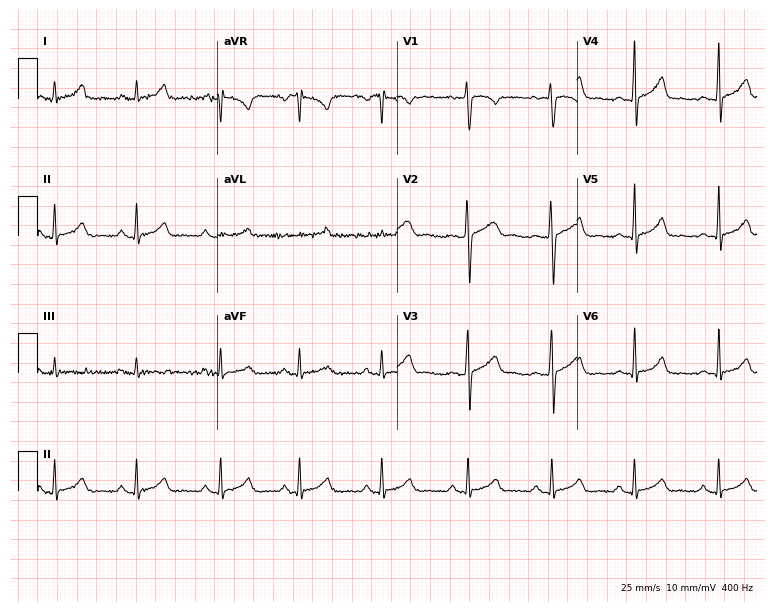
12-lead ECG from a female patient, 35 years old (7.3-second recording at 400 Hz). Recorded interpretation: within normal limits.